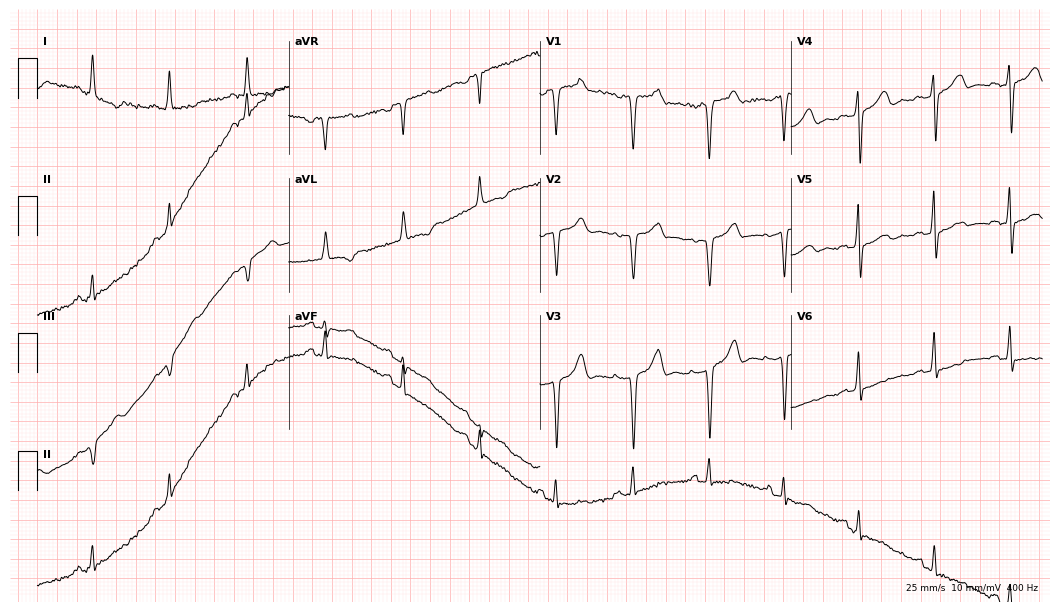
ECG — a 58-year-old woman. Screened for six findings — first-degree AV block, right bundle branch block (RBBB), left bundle branch block (LBBB), sinus bradycardia, atrial fibrillation (AF), sinus tachycardia — none is recorded. Findings outside these six are not listed.